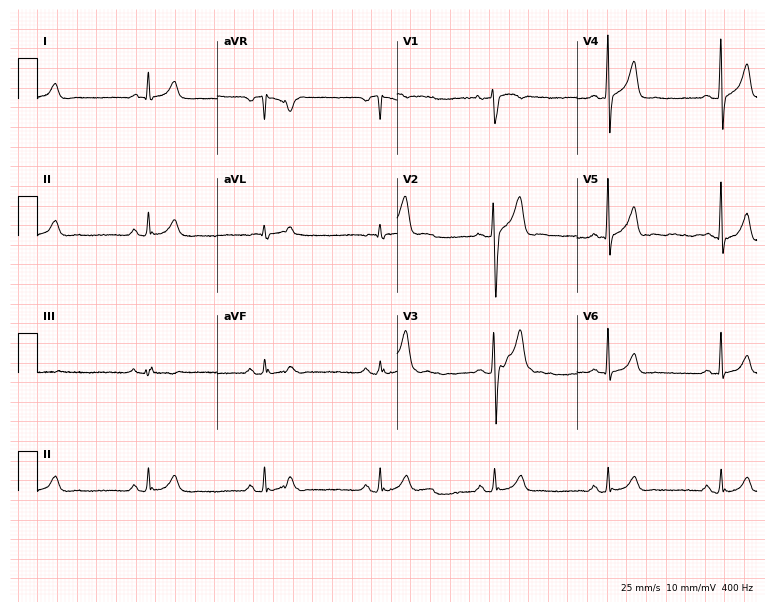
Electrocardiogram, a male patient, 32 years old. Of the six screened findings (first-degree AV block, right bundle branch block (RBBB), left bundle branch block (LBBB), sinus bradycardia, atrial fibrillation (AF), sinus tachycardia), none is recorded.